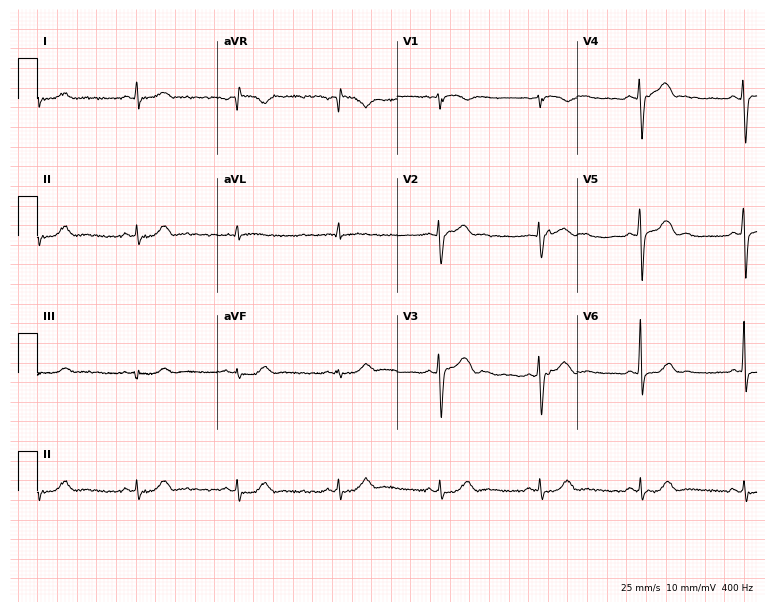
Electrocardiogram, a male, 50 years old. Of the six screened findings (first-degree AV block, right bundle branch block, left bundle branch block, sinus bradycardia, atrial fibrillation, sinus tachycardia), none is recorded. Other findings, if any, are not listed.